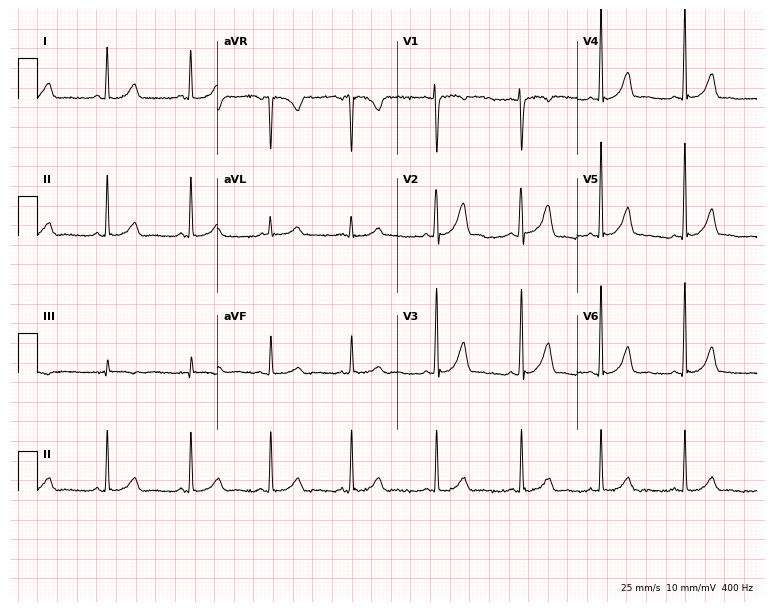
Resting 12-lead electrocardiogram. Patient: a female, 27 years old. None of these six findings is recorded: first-degree AV block, right bundle branch block (RBBB), left bundle branch block (LBBB), sinus bradycardia, atrial fibrillation (AF), sinus tachycardia.